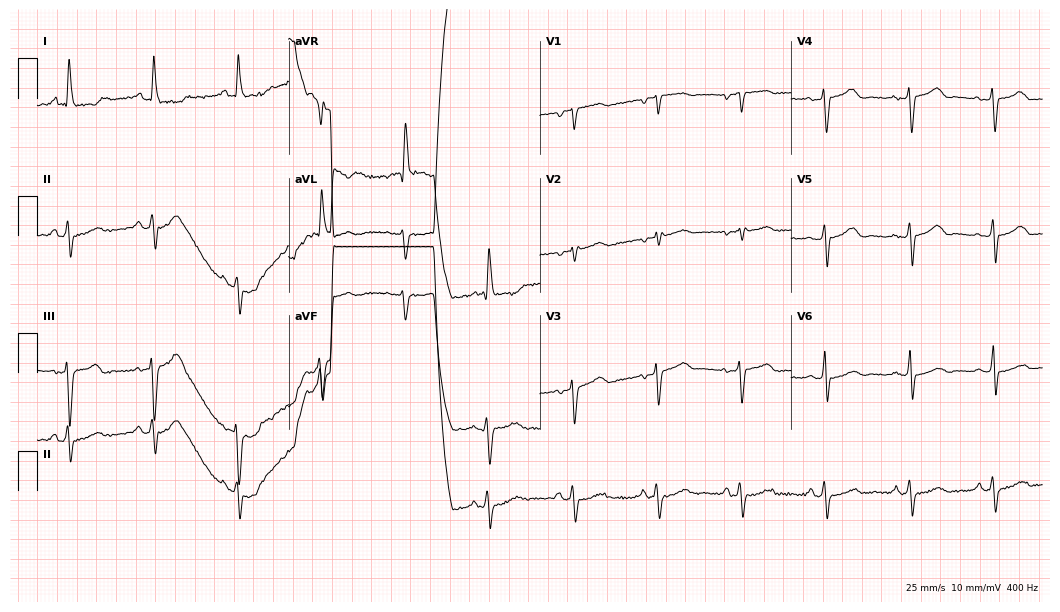
Standard 12-lead ECG recorded from a 72-year-old female. None of these six findings is recorded: first-degree AV block, right bundle branch block, left bundle branch block, sinus bradycardia, atrial fibrillation, sinus tachycardia.